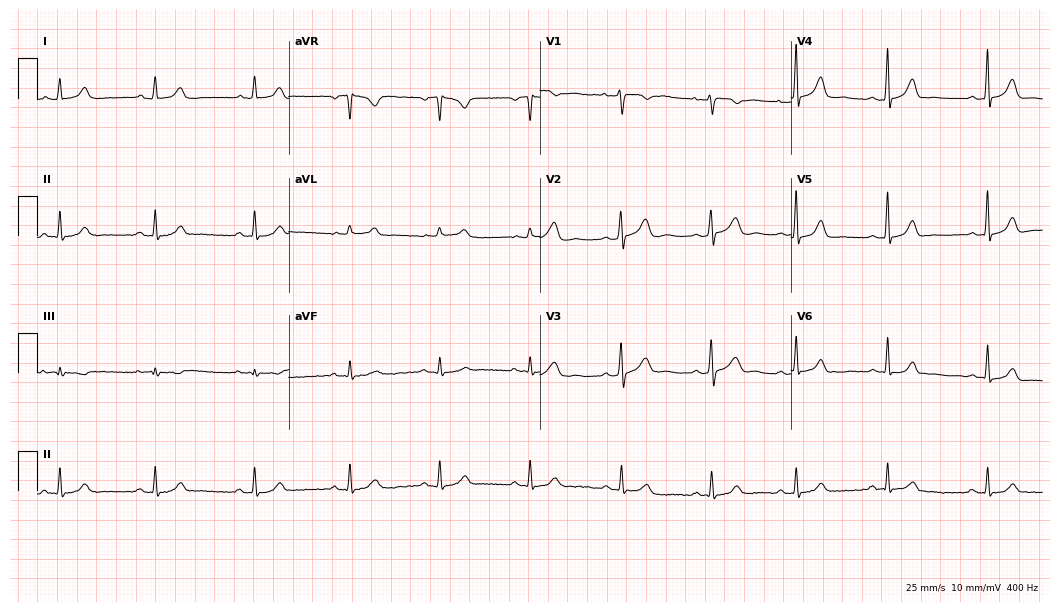
ECG — a female patient, 32 years old. Screened for six findings — first-degree AV block, right bundle branch block, left bundle branch block, sinus bradycardia, atrial fibrillation, sinus tachycardia — none is recorded.